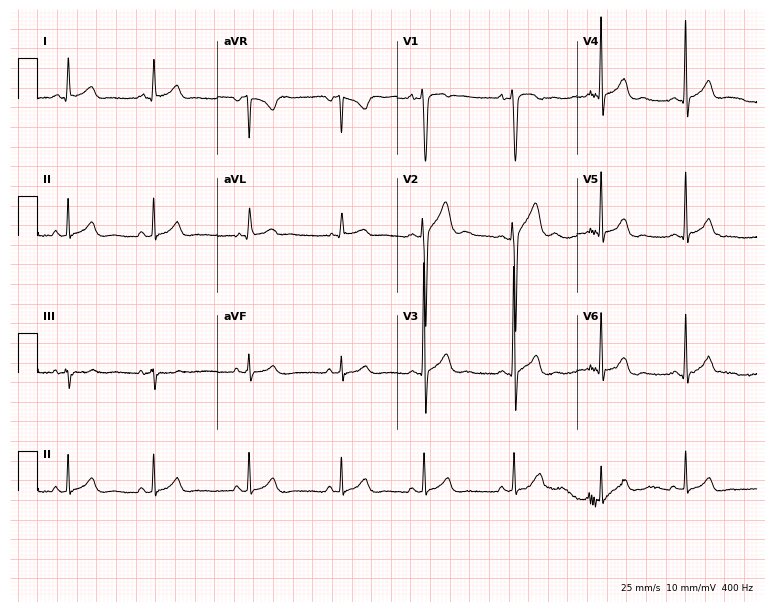
Resting 12-lead electrocardiogram (7.3-second recording at 400 Hz). Patient: a male, 17 years old. None of these six findings is recorded: first-degree AV block, right bundle branch block, left bundle branch block, sinus bradycardia, atrial fibrillation, sinus tachycardia.